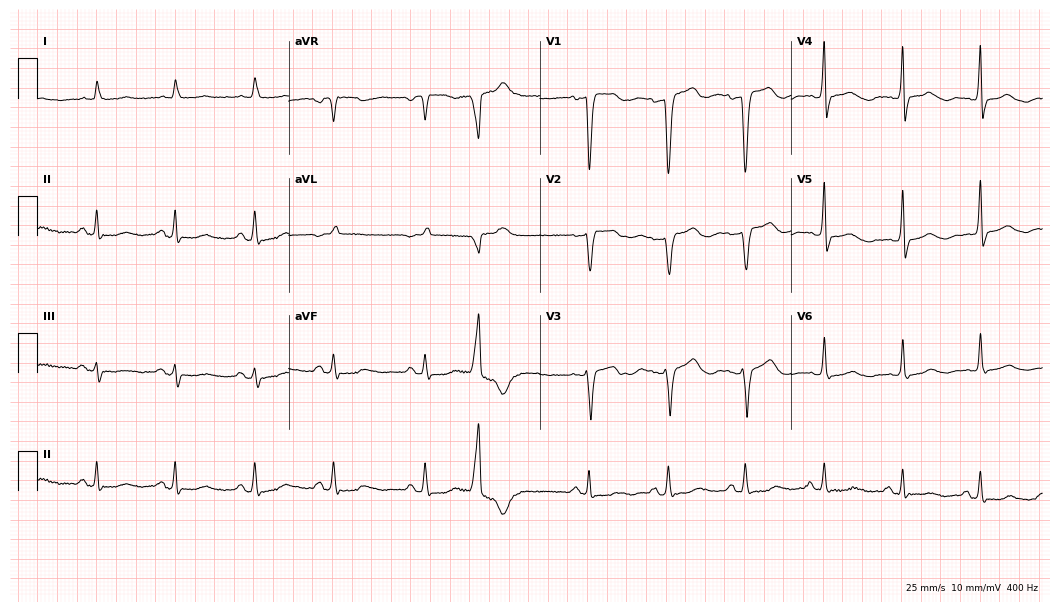
12-lead ECG (10.2-second recording at 400 Hz) from a woman, 73 years old. Screened for six findings — first-degree AV block, right bundle branch block, left bundle branch block, sinus bradycardia, atrial fibrillation, sinus tachycardia — none is recorded.